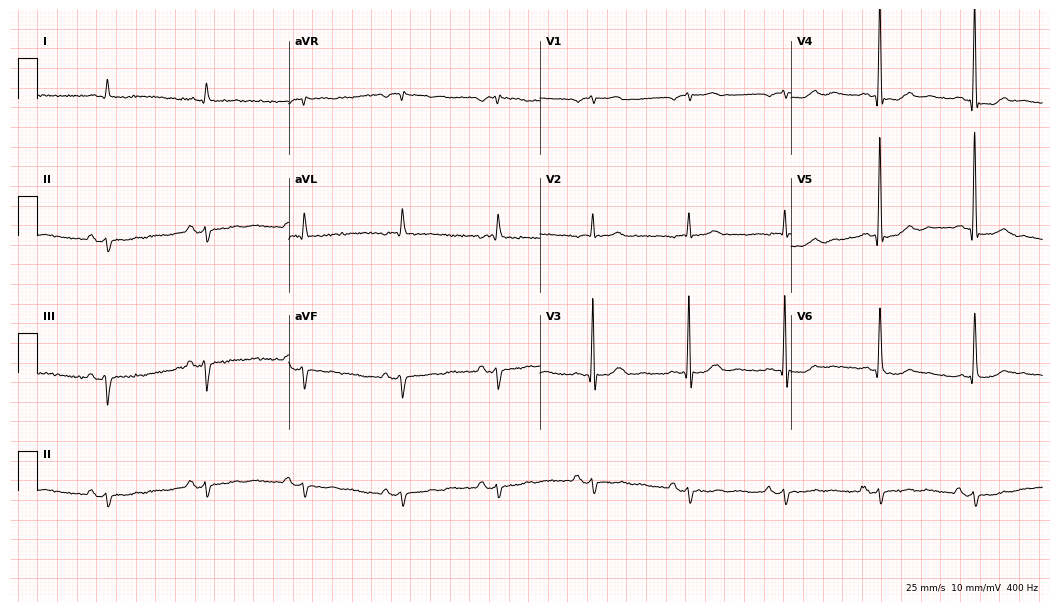
12-lead ECG from a male patient, 84 years old. Screened for six findings — first-degree AV block, right bundle branch block, left bundle branch block, sinus bradycardia, atrial fibrillation, sinus tachycardia — none is recorded.